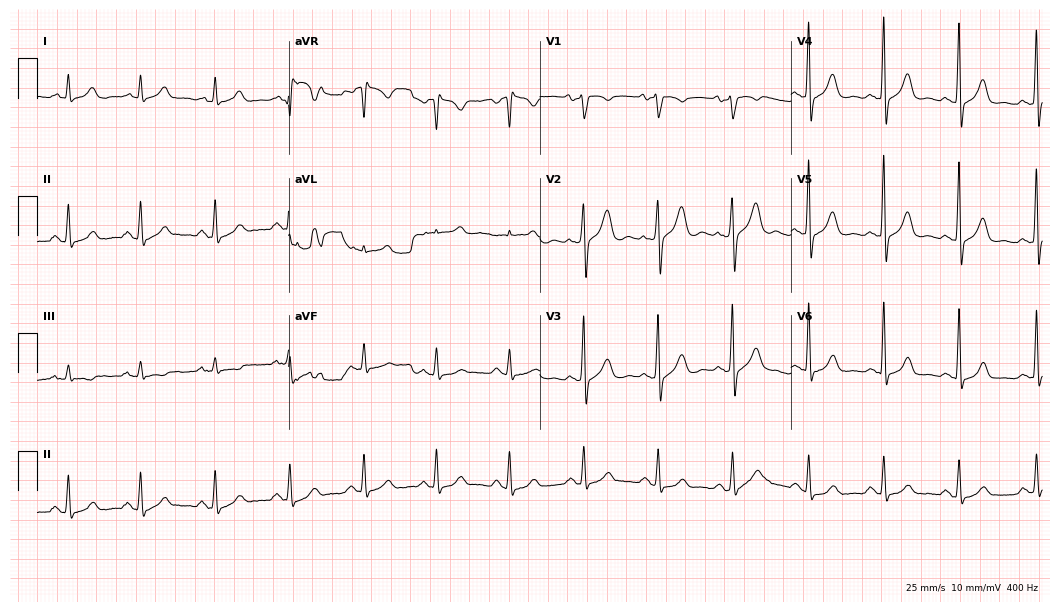
12-lead ECG from a female, 42 years old. Recorded interpretation: within normal limits.